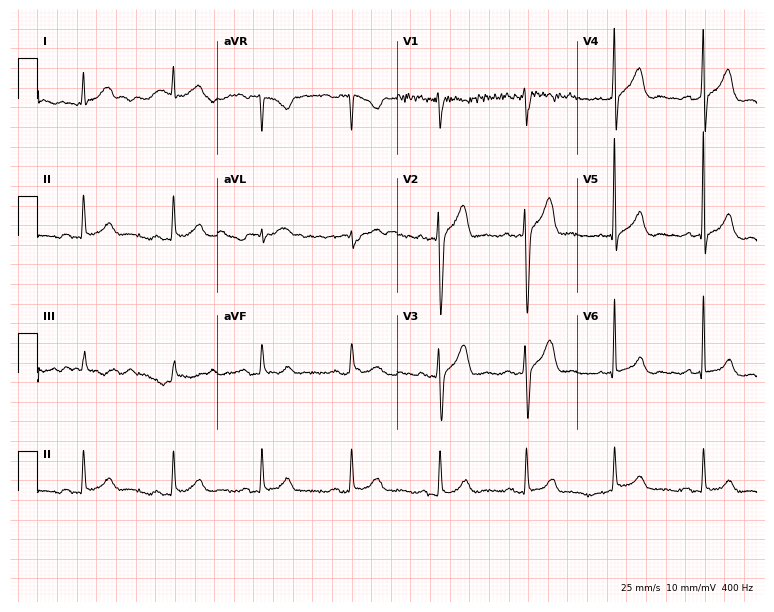
ECG (7.3-second recording at 400 Hz) — a 62-year-old male patient. Screened for six findings — first-degree AV block, right bundle branch block (RBBB), left bundle branch block (LBBB), sinus bradycardia, atrial fibrillation (AF), sinus tachycardia — none is recorded.